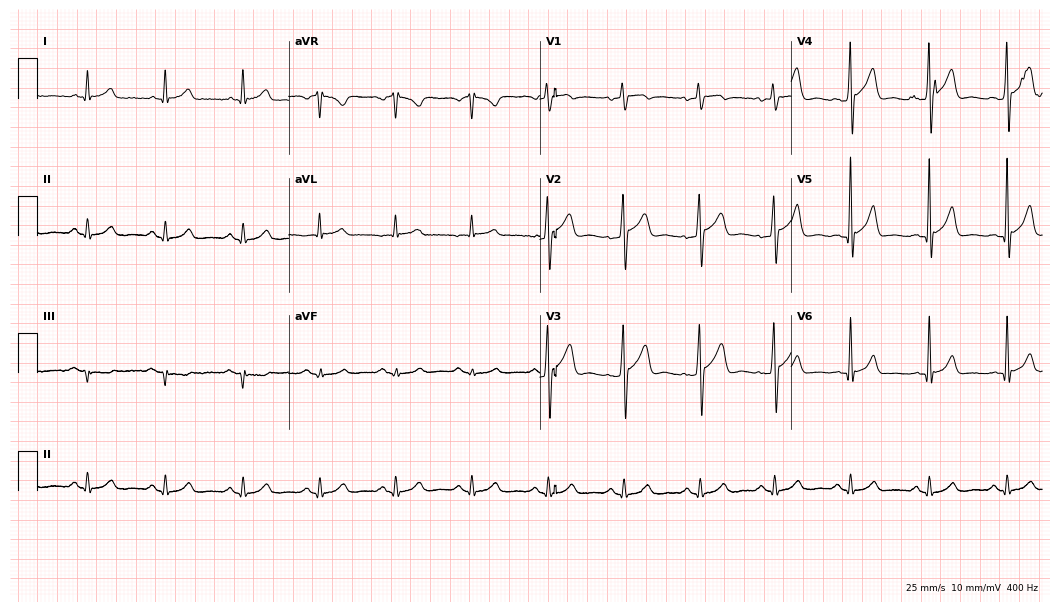
ECG (10.2-second recording at 400 Hz) — a man, 56 years old. Screened for six findings — first-degree AV block, right bundle branch block (RBBB), left bundle branch block (LBBB), sinus bradycardia, atrial fibrillation (AF), sinus tachycardia — none is recorded. Findings outside these six are not listed.